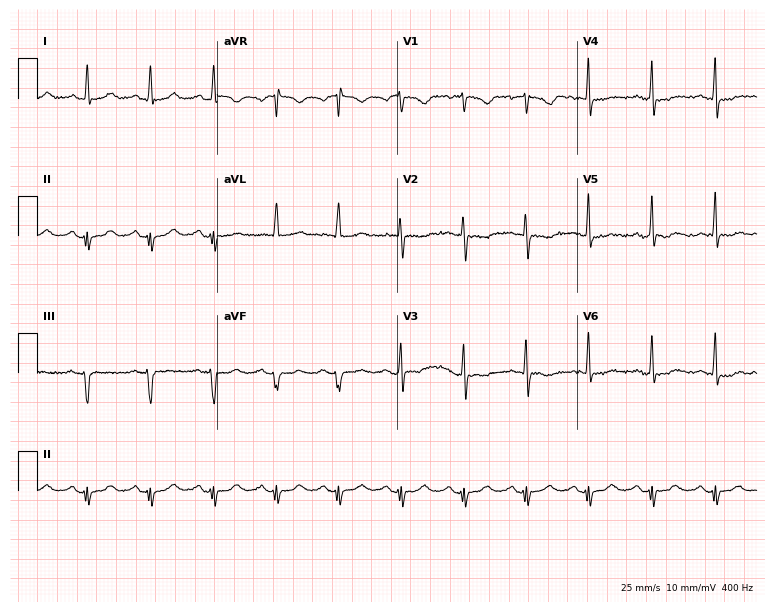
Standard 12-lead ECG recorded from a female, 58 years old. None of these six findings is recorded: first-degree AV block, right bundle branch block (RBBB), left bundle branch block (LBBB), sinus bradycardia, atrial fibrillation (AF), sinus tachycardia.